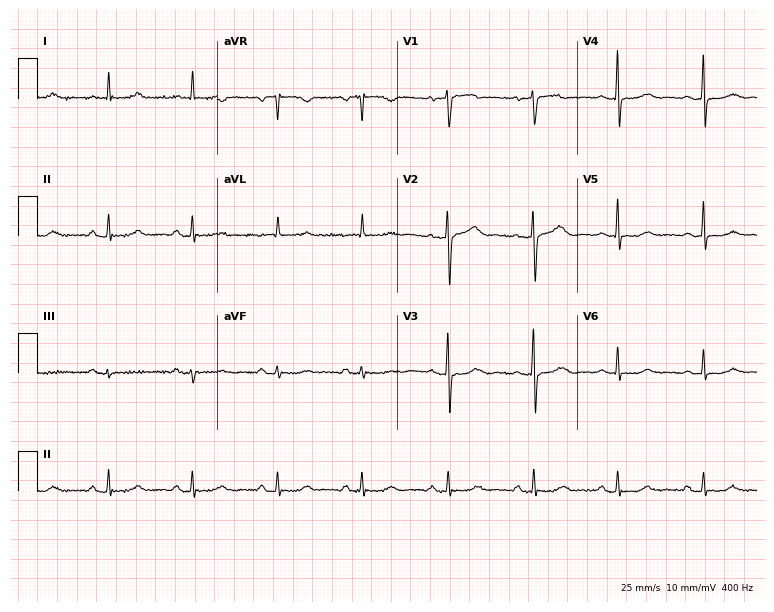
12-lead ECG (7.3-second recording at 400 Hz) from a female patient, 58 years old. Screened for six findings — first-degree AV block, right bundle branch block, left bundle branch block, sinus bradycardia, atrial fibrillation, sinus tachycardia — none is recorded. Only these six findings were labelled.